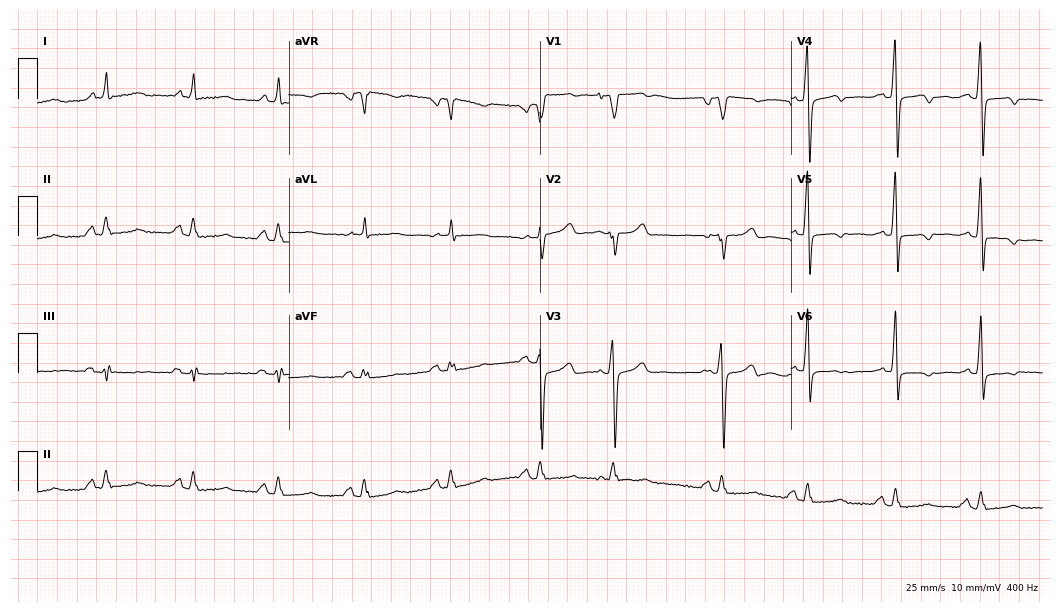
Electrocardiogram (10.2-second recording at 400 Hz), a man, 51 years old. Of the six screened findings (first-degree AV block, right bundle branch block (RBBB), left bundle branch block (LBBB), sinus bradycardia, atrial fibrillation (AF), sinus tachycardia), none is recorded. Only these six findings were labelled.